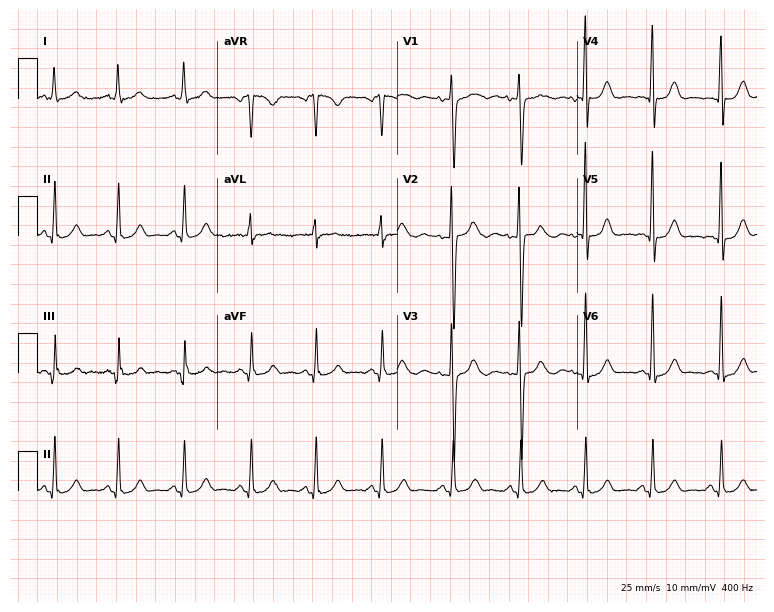
Resting 12-lead electrocardiogram (7.3-second recording at 400 Hz). Patient: a 33-year-old female. None of these six findings is recorded: first-degree AV block, right bundle branch block, left bundle branch block, sinus bradycardia, atrial fibrillation, sinus tachycardia. Findings outside these six are not listed.